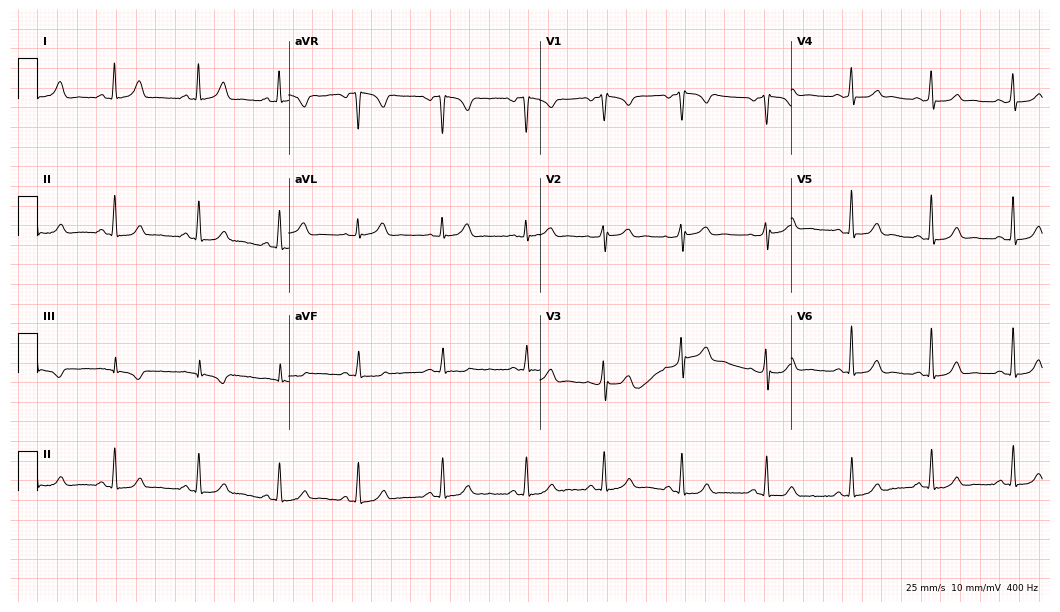
12-lead ECG from a 46-year-old woman. Labelled as a normal ECG.